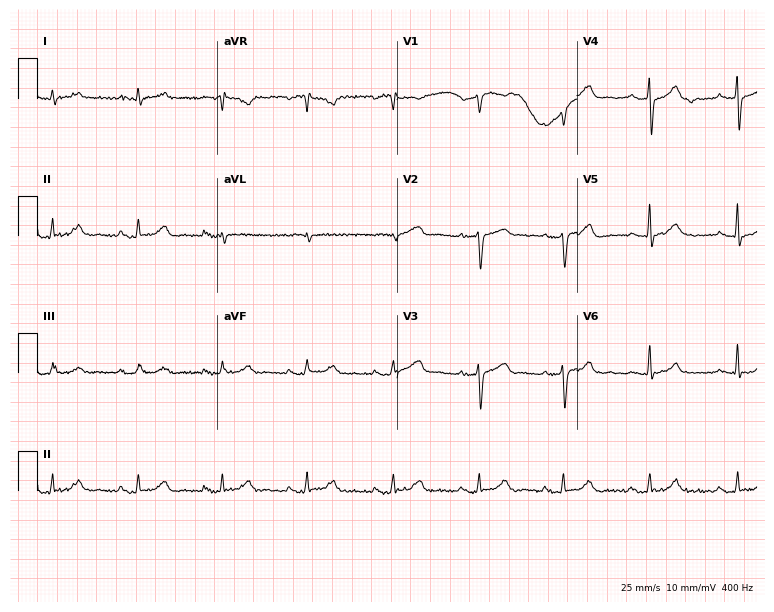
Resting 12-lead electrocardiogram. Patient: a male, 62 years old. Read as a normal ECG.